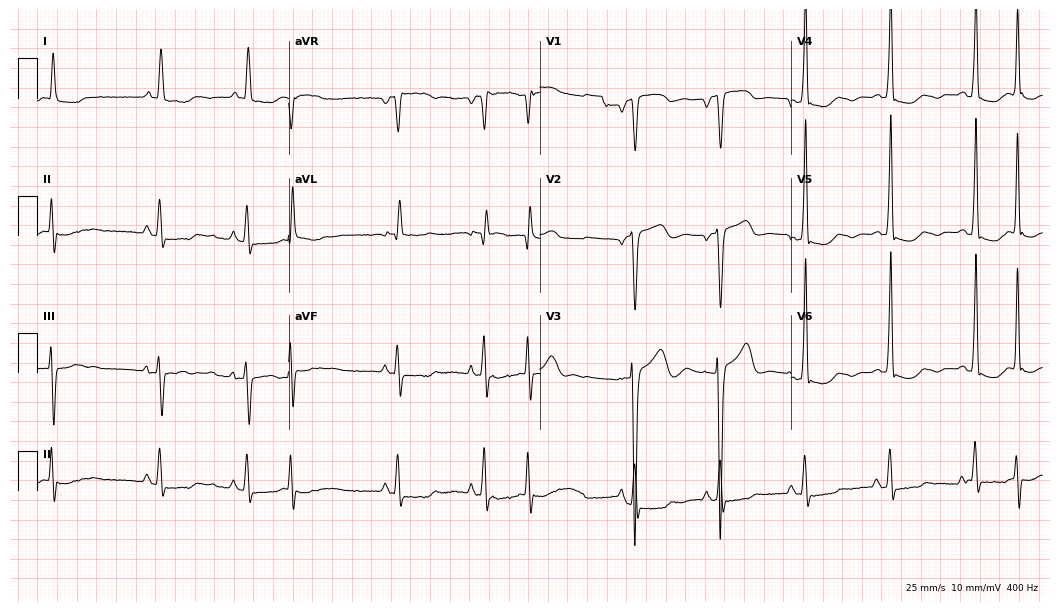
ECG (10.2-second recording at 400 Hz) — a female, 84 years old. Screened for six findings — first-degree AV block, right bundle branch block (RBBB), left bundle branch block (LBBB), sinus bradycardia, atrial fibrillation (AF), sinus tachycardia — none is recorded. Findings outside these six are not listed.